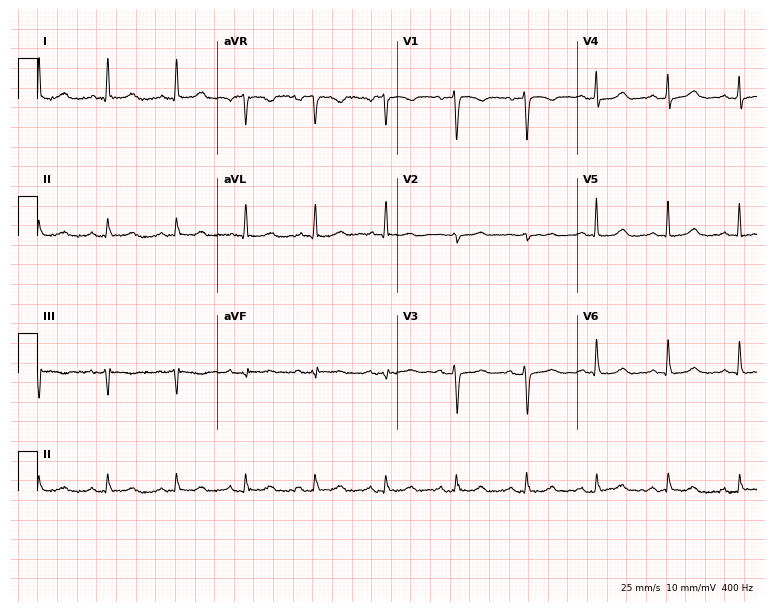
12-lead ECG from a woman, 70 years old. No first-degree AV block, right bundle branch block (RBBB), left bundle branch block (LBBB), sinus bradycardia, atrial fibrillation (AF) or sinus tachycardia recorded for this tracing. Only these six findings were labelled.